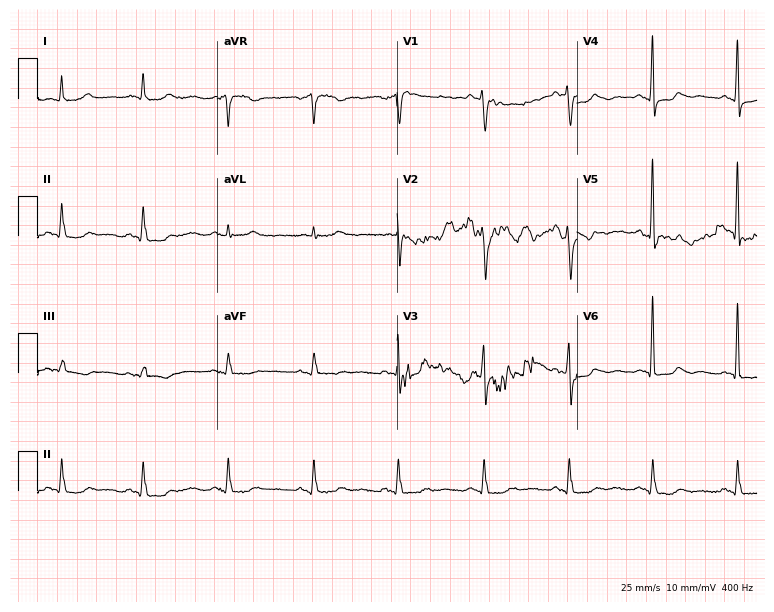
Standard 12-lead ECG recorded from an 81-year-old female patient (7.3-second recording at 400 Hz). Read as a normal ECG.